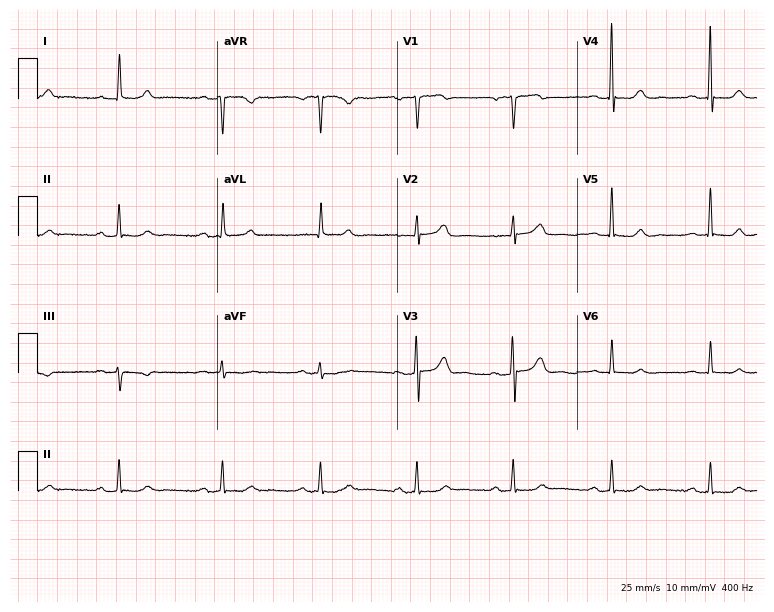
Resting 12-lead electrocardiogram. Patient: a female, 73 years old. The tracing shows first-degree AV block.